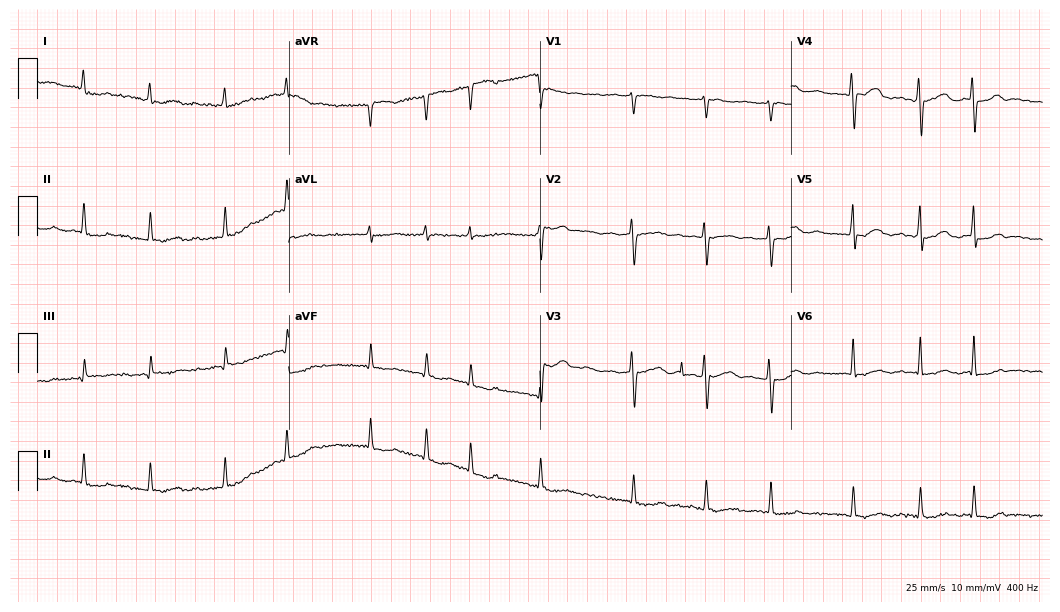
ECG (10.2-second recording at 400 Hz) — a female, 58 years old. Findings include atrial fibrillation.